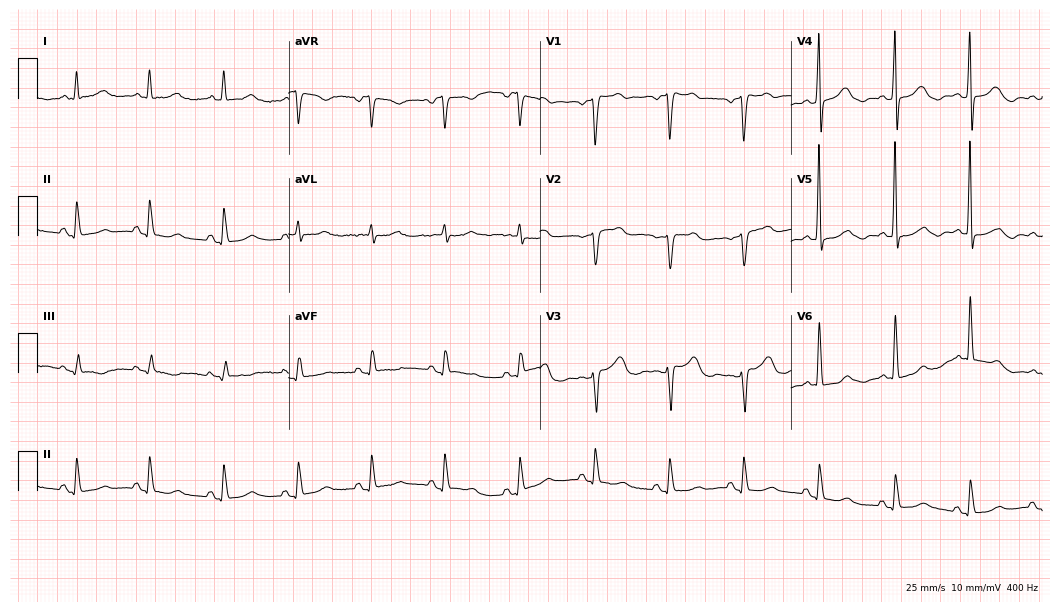
ECG (10.2-second recording at 400 Hz) — a woman, 60 years old. Screened for six findings — first-degree AV block, right bundle branch block, left bundle branch block, sinus bradycardia, atrial fibrillation, sinus tachycardia — none is recorded. Other findings, if any, are not listed.